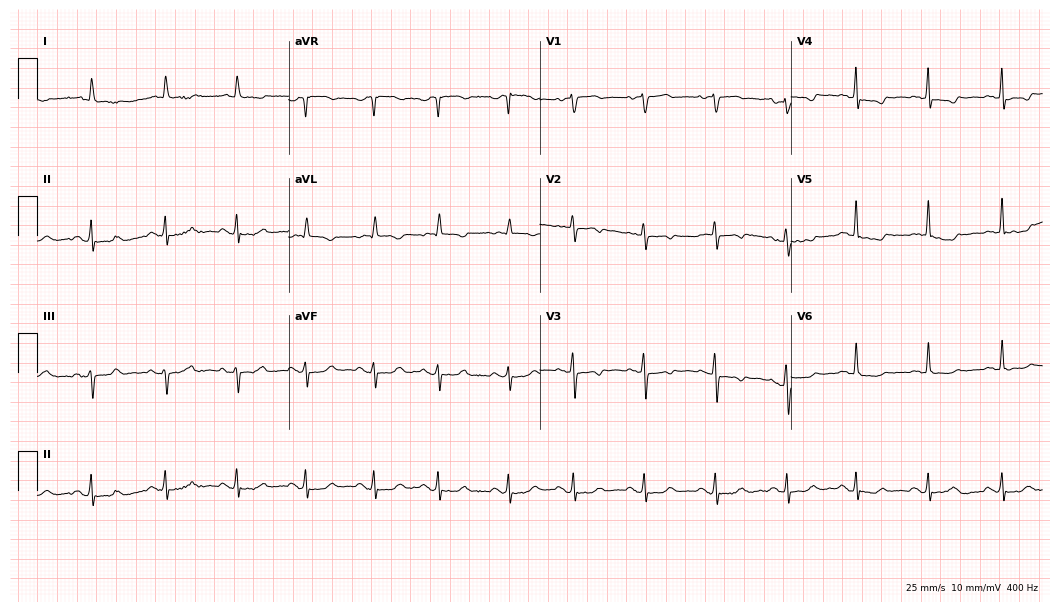
12-lead ECG from a female, 75 years old. Recorded interpretation: within normal limits.